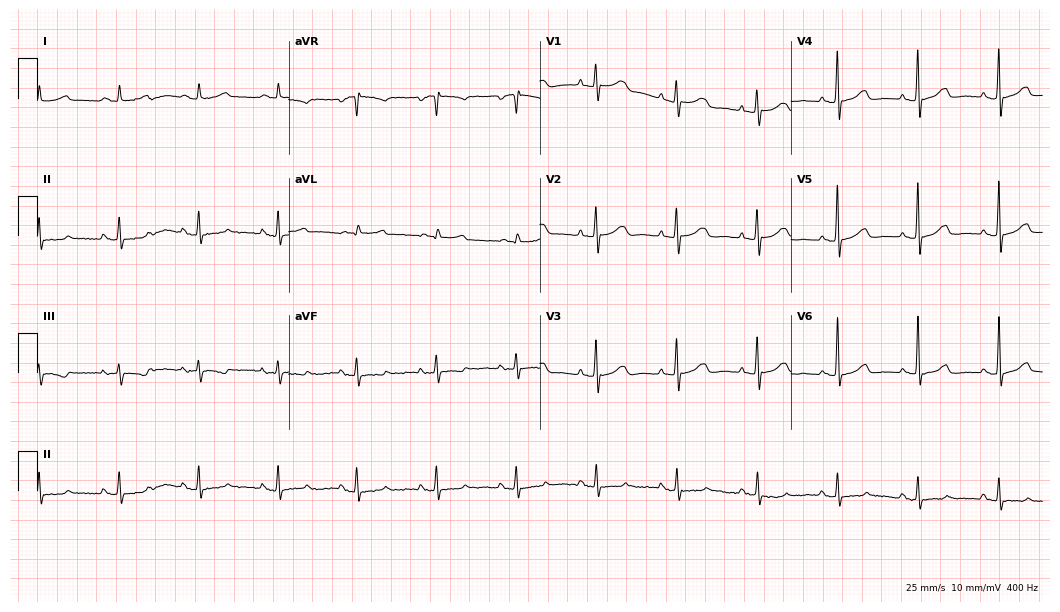
Resting 12-lead electrocardiogram (10.2-second recording at 400 Hz). Patient: a female, 79 years old. None of these six findings is recorded: first-degree AV block, right bundle branch block, left bundle branch block, sinus bradycardia, atrial fibrillation, sinus tachycardia.